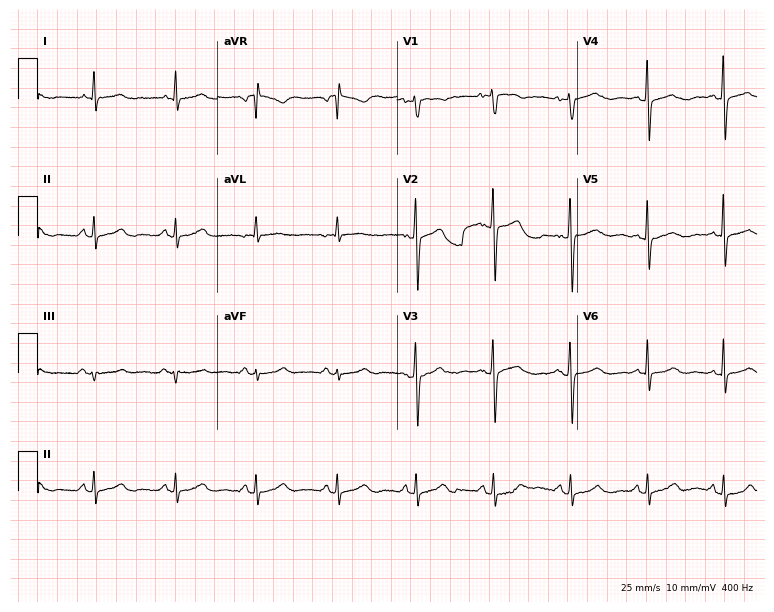
12-lead ECG from a female patient, 56 years old. Labelled as a normal ECG.